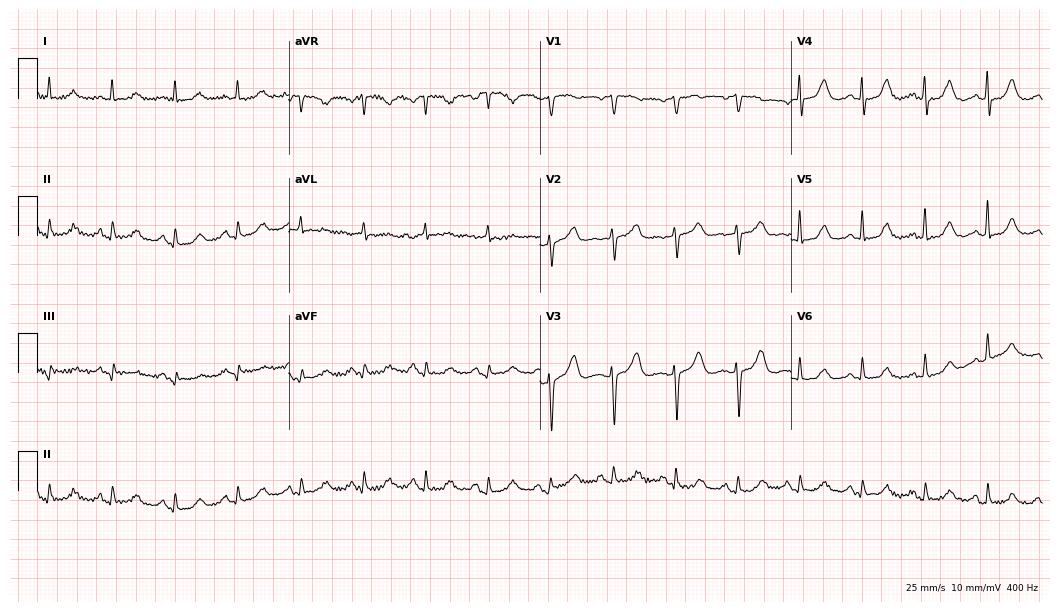
Electrocardiogram (10.2-second recording at 400 Hz), a 72-year-old female. Of the six screened findings (first-degree AV block, right bundle branch block, left bundle branch block, sinus bradycardia, atrial fibrillation, sinus tachycardia), none is recorded.